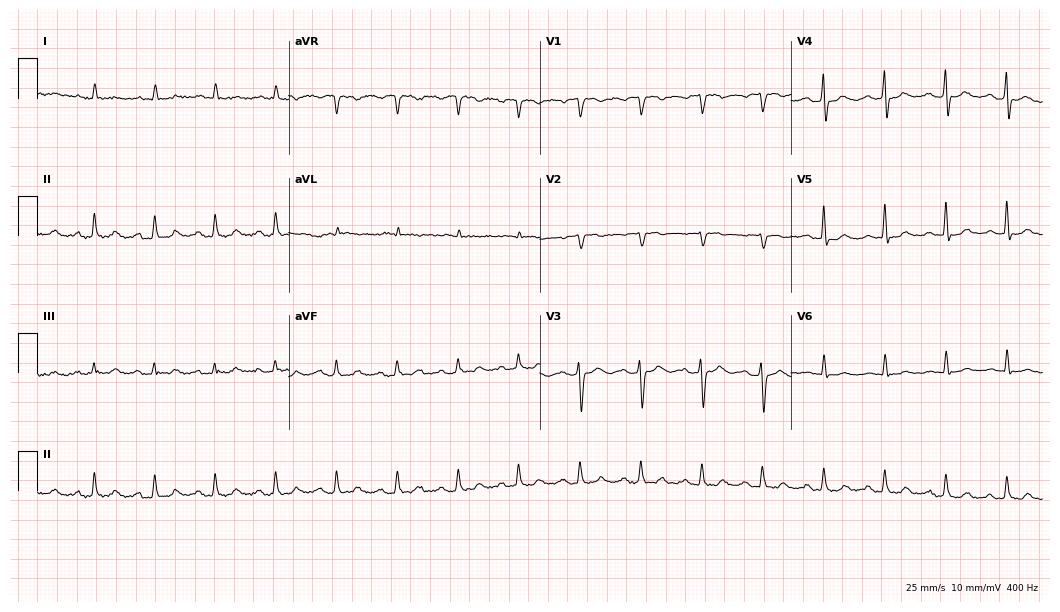
Electrocardiogram (10.2-second recording at 400 Hz), a male, 80 years old. Of the six screened findings (first-degree AV block, right bundle branch block (RBBB), left bundle branch block (LBBB), sinus bradycardia, atrial fibrillation (AF), sinus tachycardia), none is recorded.